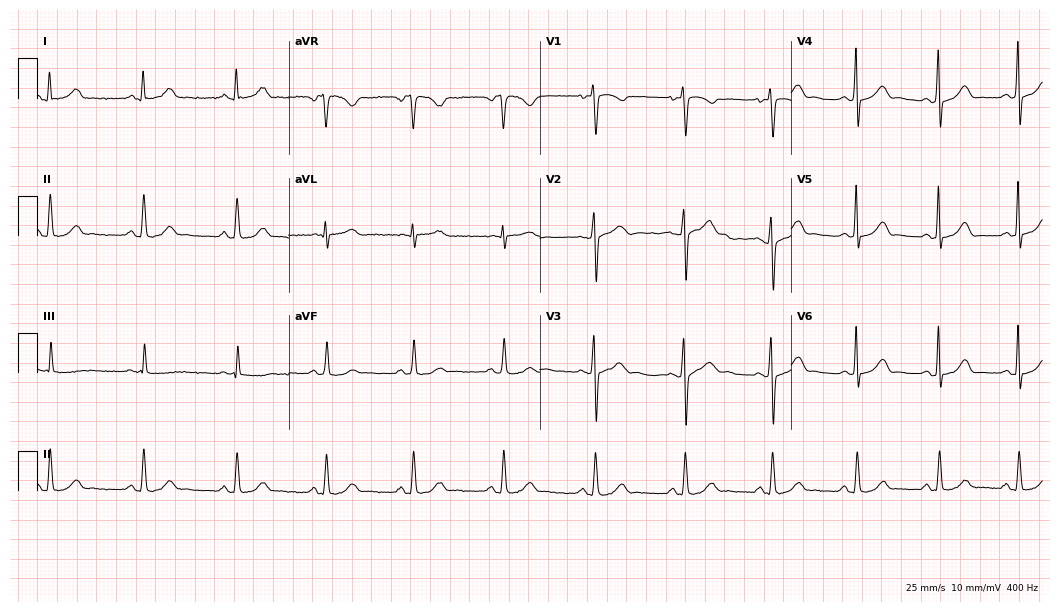
12-lead ECG from a 34-year-old female patient. Labelled as a normal ECG.